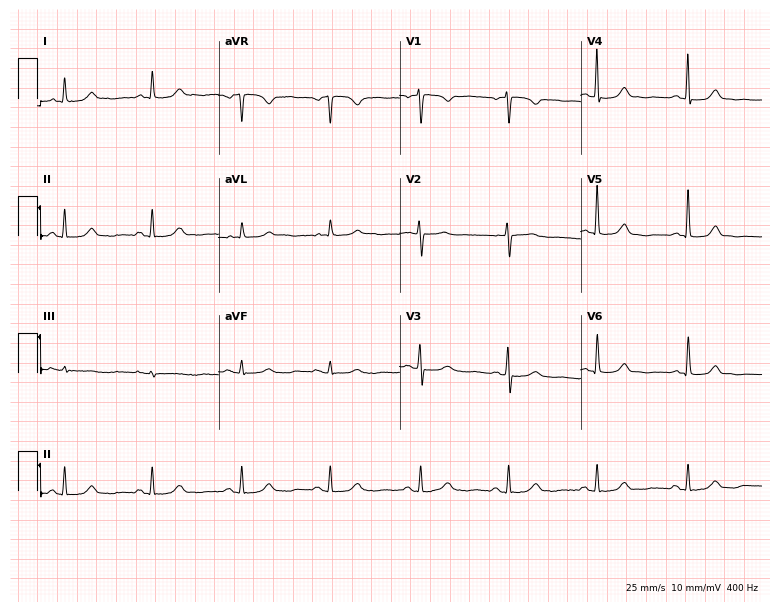
Electrocardiogram (7.4-second recording at 400 Hz), a female patient, 74 years old. Overall reading on record: normal ECG.